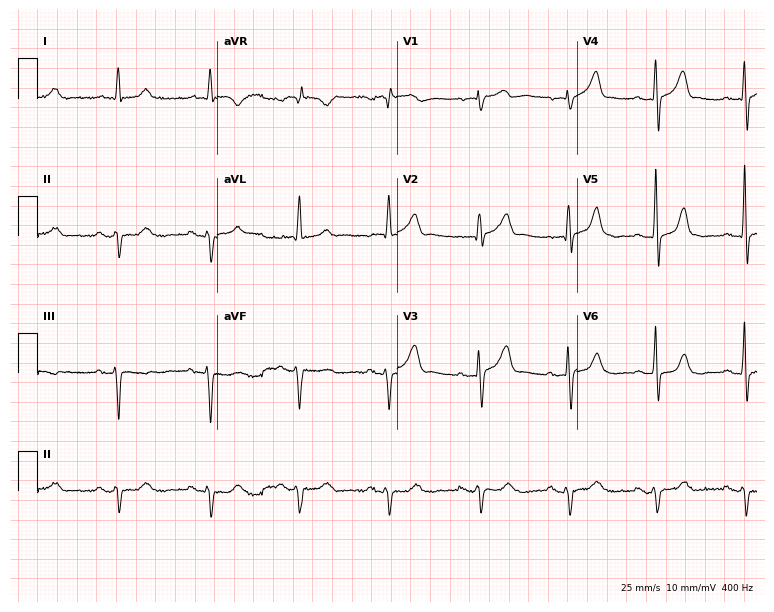
12-lead ECG from a 77-year-old man. No first-degree AV block, right bundle branch block (RBBB), left bundle branch block (LBBB), sinus bradycardia, atrial fibrillation (AF) or sinus tachycardia recorded for this tracing. Other findings, if any, are not listed.